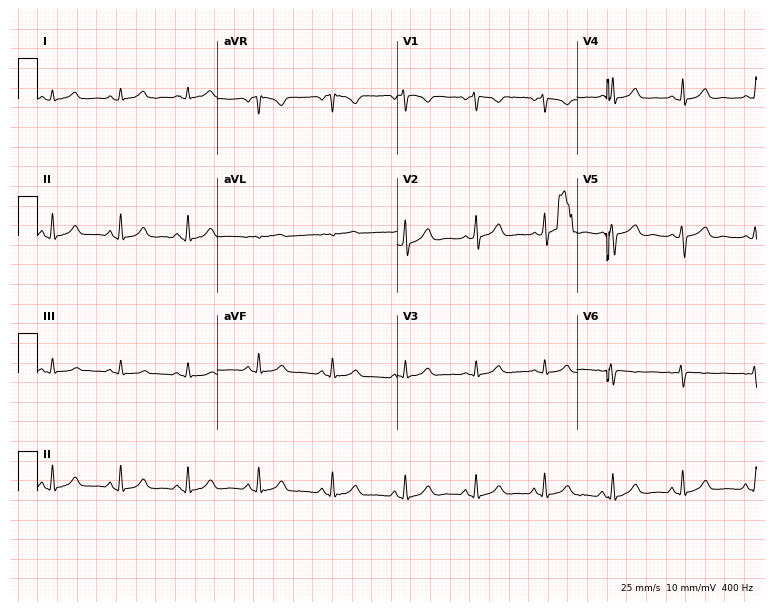
12-lead ECG (7.3-second recording at 400 Hz) from a 23-year-old female. Screened for six findings — first-degree AV block, right bundle branch block, left bundle branch block, sinus bradycardia, atrial fibrillation, sinus tachycardia — none is recorded. Findings outside these six are not listed.